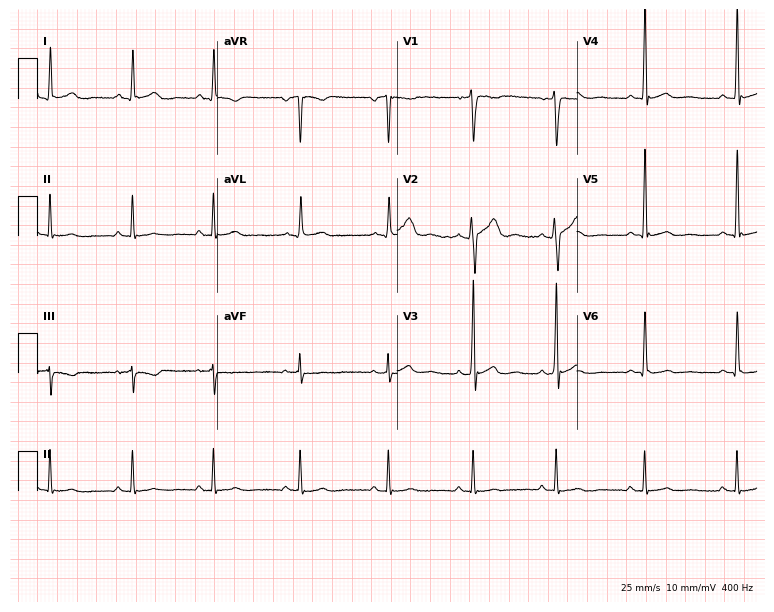
Electrocardiogram (7.3-second recording at 400 Hz), a male, 18 years old. Of the six screened findings (first-degree AV block, right bundle branch block (RBBB), left bundle branch block (LBBB), sinus bradycardia, atrial fibrillation (AF), sinus tachycardia), none is recorded. Only these six findings were labelled.